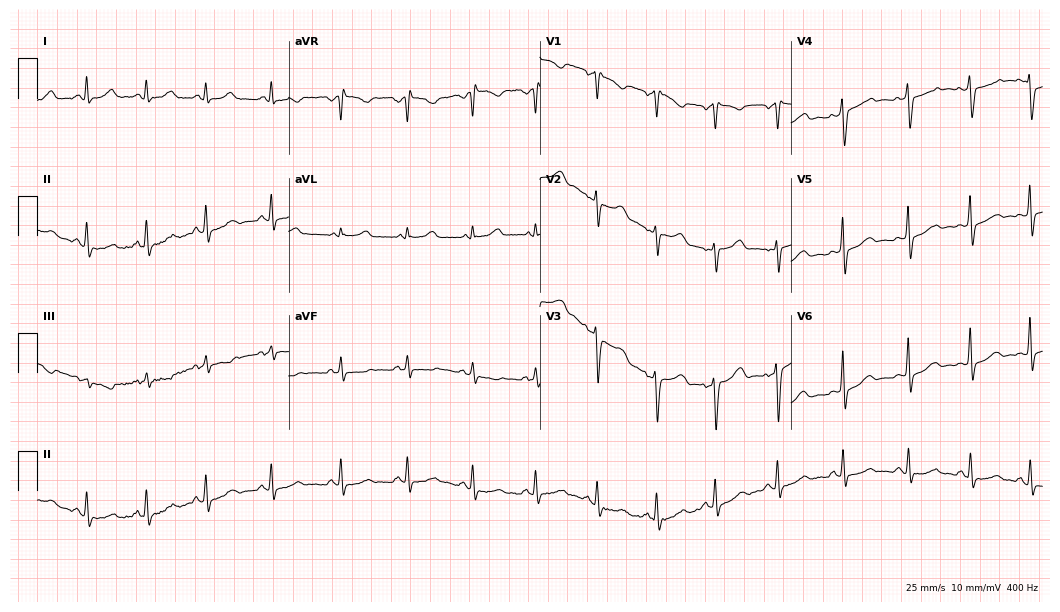
12-lead ECG from a female, 31 years old. Labelled as a normal ECG.